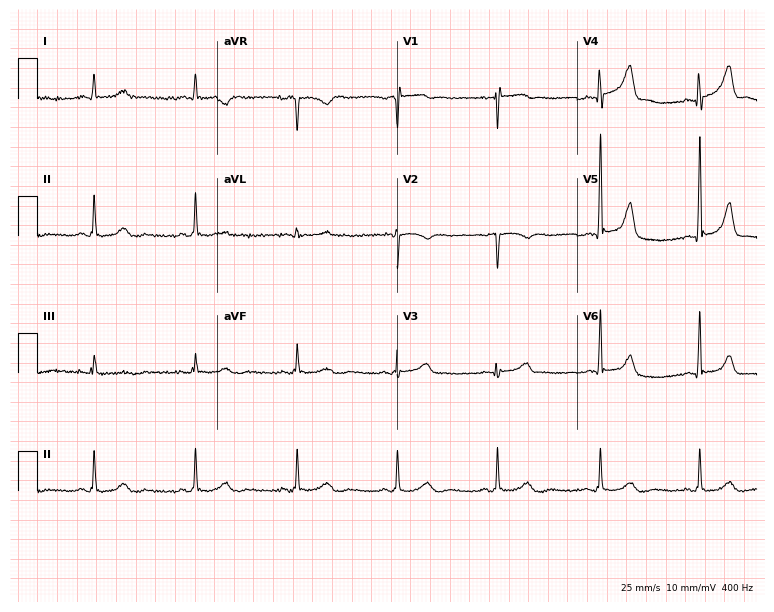
12-lead ECG (7.3-second recording at 400 Hz) from a male patient, 52 years old. Screened for six findings — first-degree AV block, right bundle branch block, left bundle branch block, sinus bradycardia, atrial fibrillation, sinus tachycardia — none is recorded.